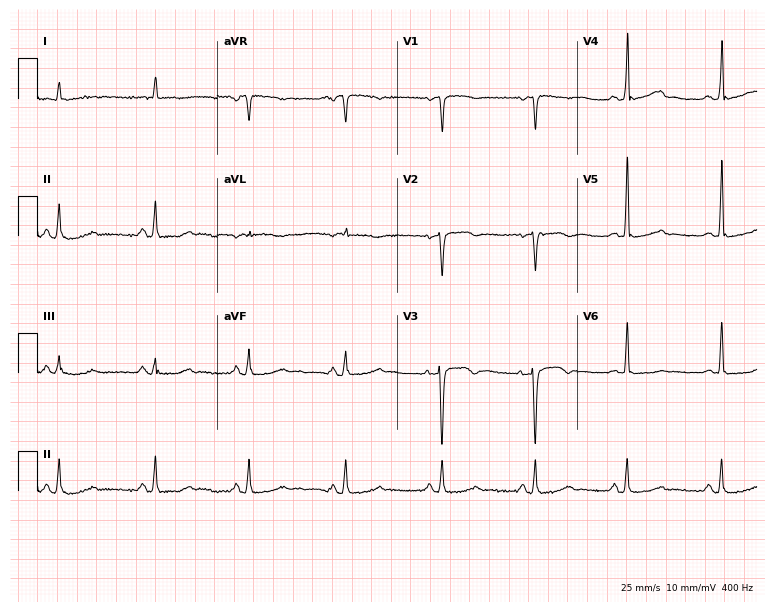
12-lead ECG from a female, 74 years old (7.3-second recording at 400 Hz). No first-degree AV block, right bundle branch block, left bundle branch block, sinus bradycardia, atrial fibrillation or sinus tachycardia recorded for this tracing.